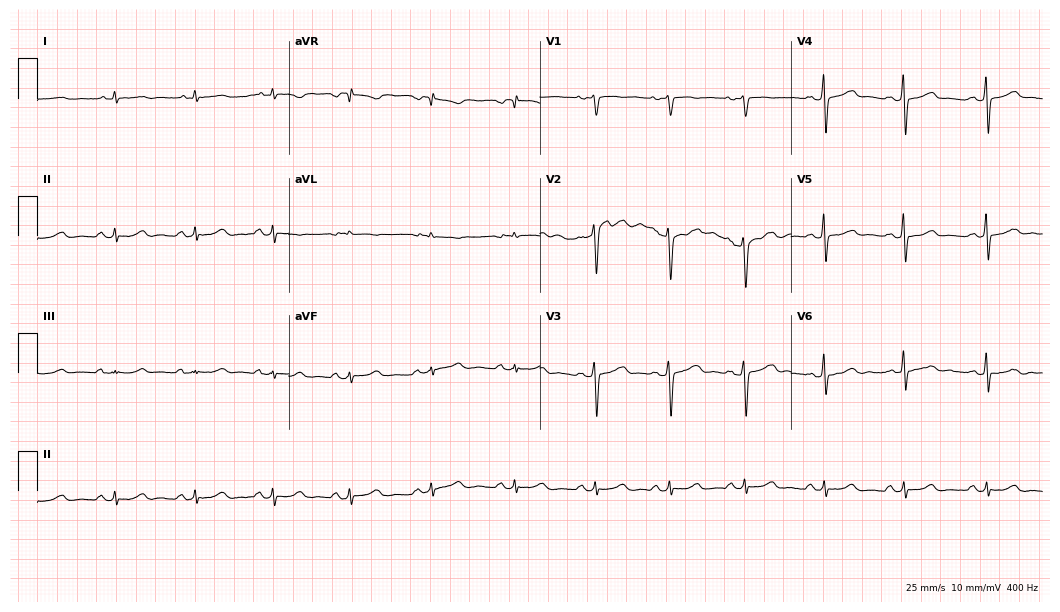
Resting 12-lead electrocardiogram. Patient: a 37-year-old female. None of these six findings is recorded: first-degree AV block, right bundle branch block, left bundle branch block, sinus bradycardia, atrial fibrillation, sinus tachycardia. Findings outside these six are not listed.